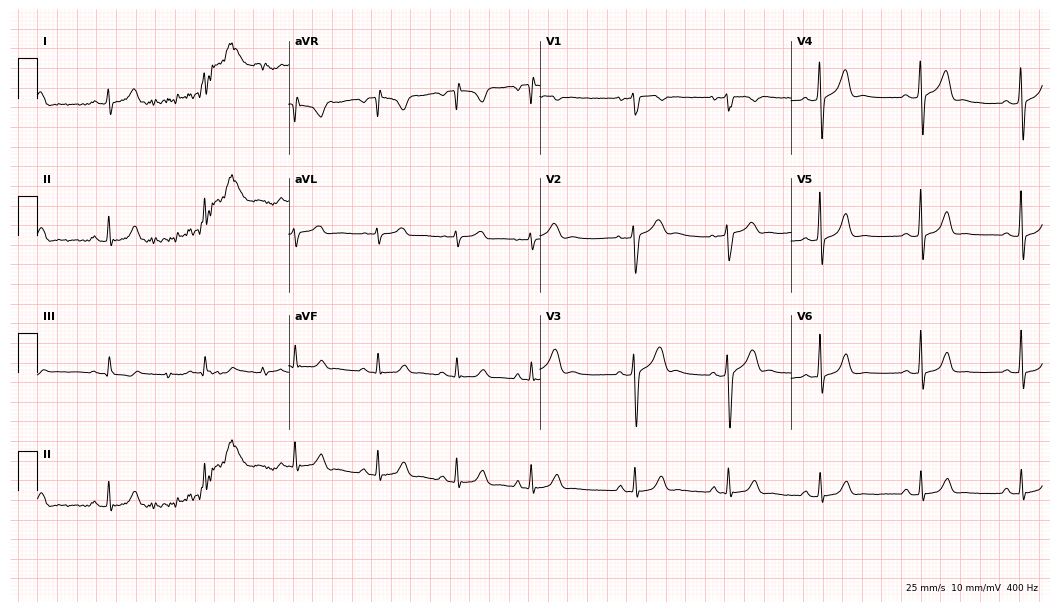
ECG — a 19-year-old male patient. Screened for six findings — first-degree AV block, right bundle branch block (RBBB), left bundle branch block (LBBB), sinus bradycardia, atrial fibrillation (AF), sinus tachycardia — none is recorded.